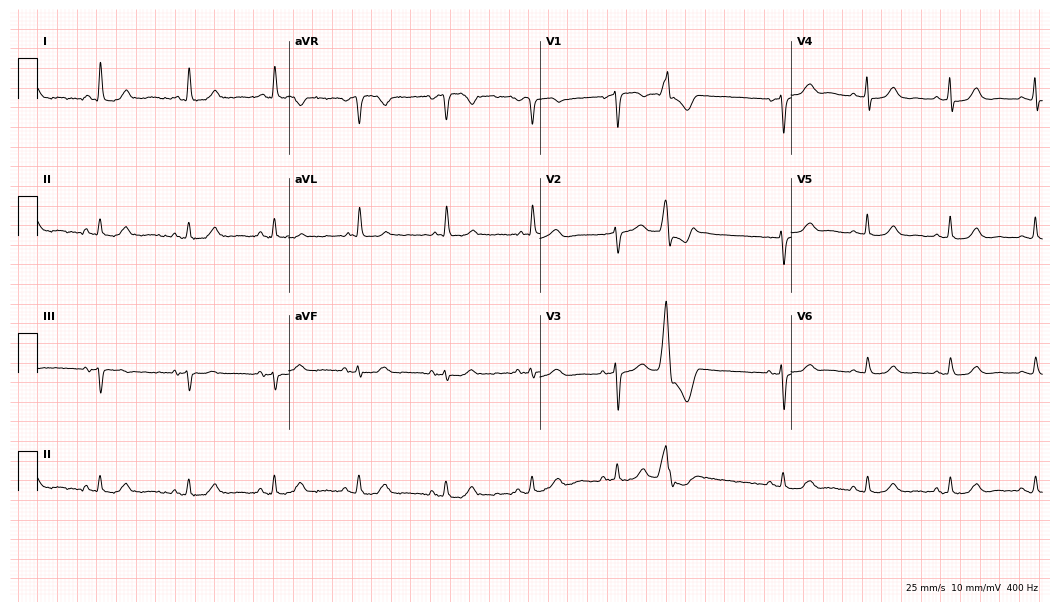
ECG — a female, 69 years old. Screened for six findings — first-degree AV block, right bundle branch block, left bundle branch block, sinus bradycardia, atrial fibrillation, sinus tachycardia — none is recorded.